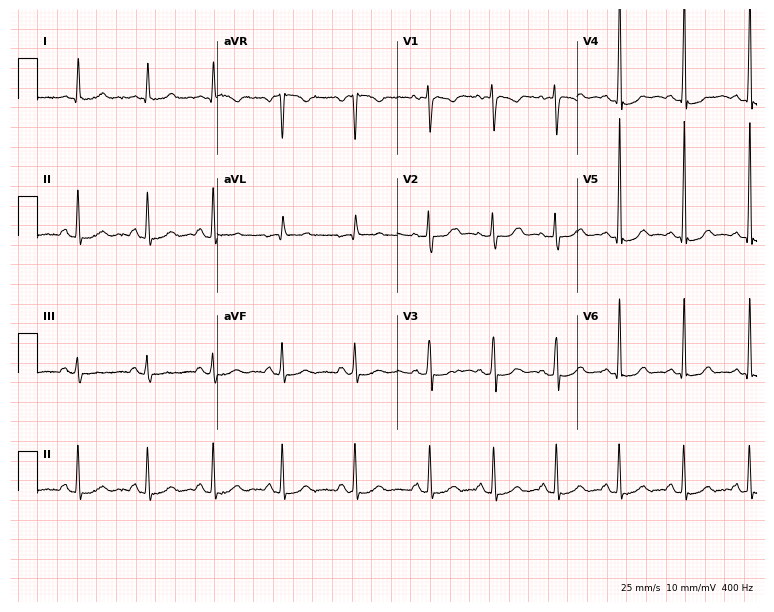
12-lead ECG (7.3-second recording at 400 Hz) from a 32-year-old woman. Screened for six findings — first-degree AV block, right bundle branch block, left bundle branch block, sinus bradycardia, atrial fibrillation, sinus tachycardia — none is recorded.